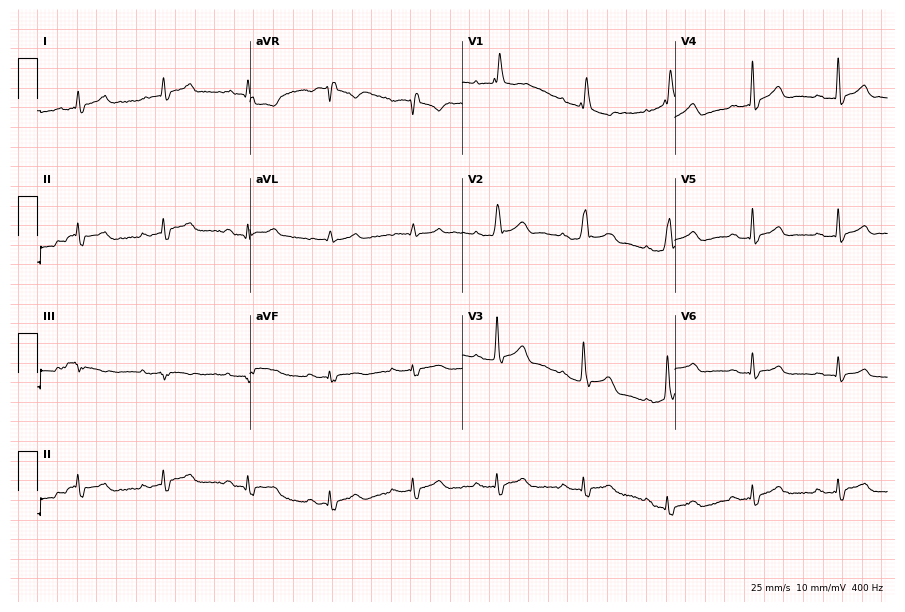
Electrocardiogram (8.7-second recording at 400 Hz), a male patient, 45 years old. Of the six screened findings (first-degree AV block, right bundle branch block, left bundle branch block, sinus bradycardia, atrial fibrillation, sinus tachycardia), none is recorded.